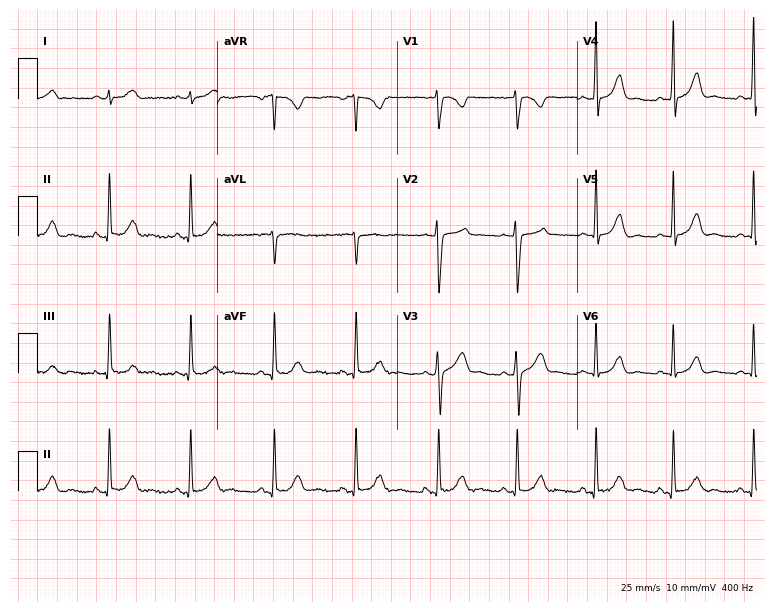
Resting 12-lead electrocardiogram (7.3-second recording at 400 Hz). Patient: a female, 30 years old. Read as a normal ECG.